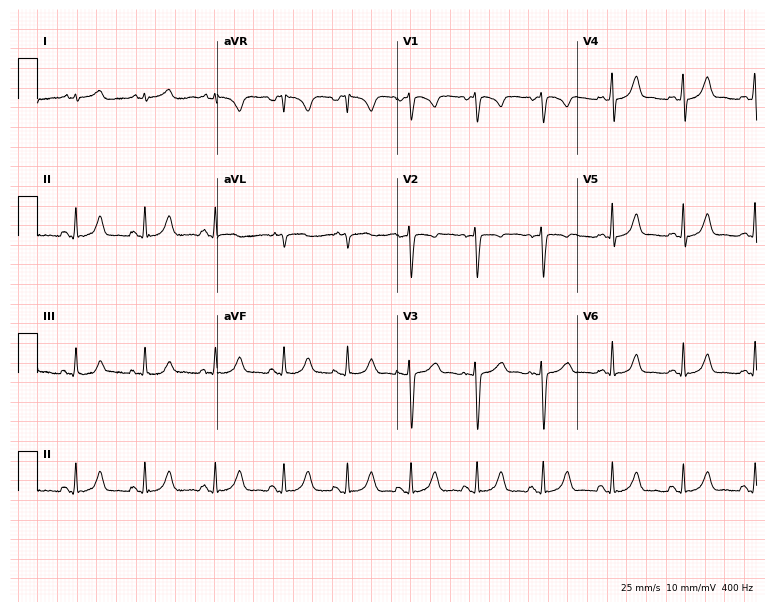
Standard 12-lead ECG recorded from a female patient, 25 years old (7.3-second recording at 400 Hz). Read as a normal ECG.